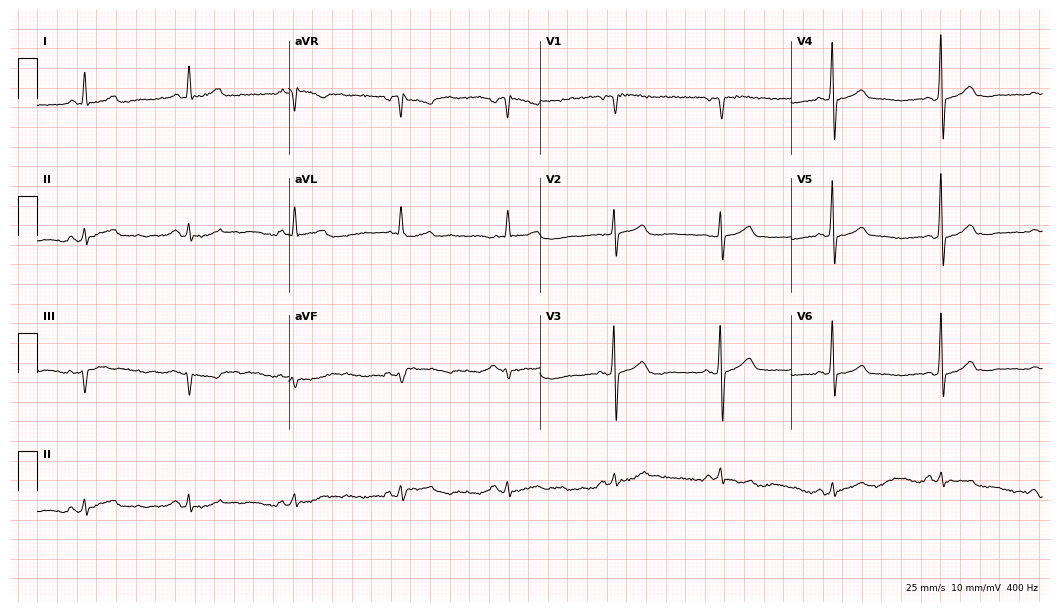
12-lead ECG from a female patient, 67 years old. Screened for six findings — first-degree AV block, right bundle branch block, left bundle branch block, sinus bradycardia, atrial fibrillation, sinus tachycardia — none is recorded.